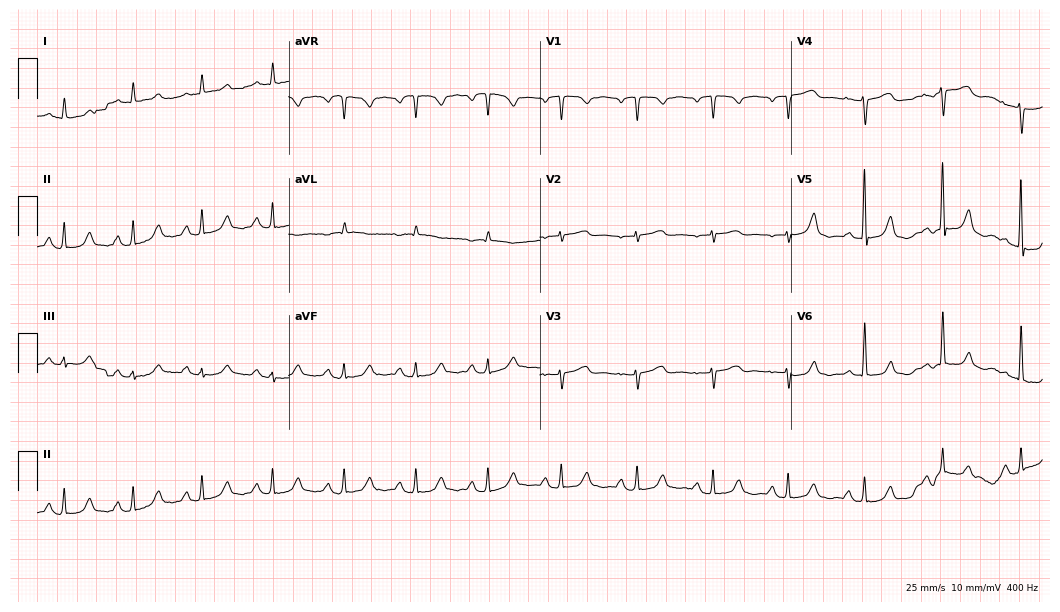
12-lead ECG (10.2-second recording at 400 Hz) from a woman, 73 years old. Screened for six findings — first-degree AV block, right bundle branch block, left bundle branch block, sinus bradycardia, atrial fibrillation, sinus tachycardia — none is recorded. Other findings, if any, are not listed.